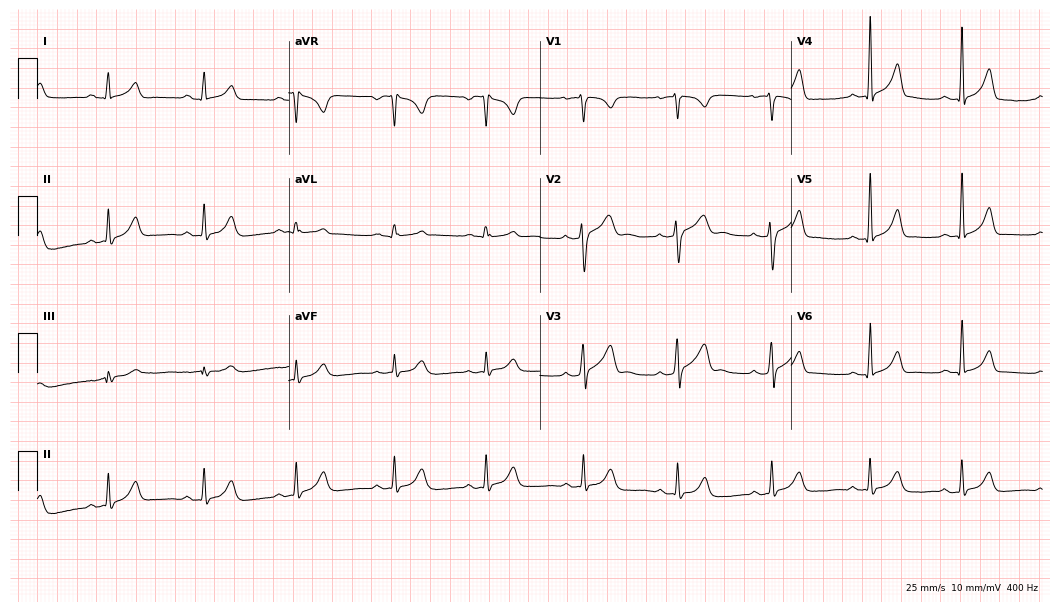
ECG — a woman, 24 years old. Labelled as a normal ECG.